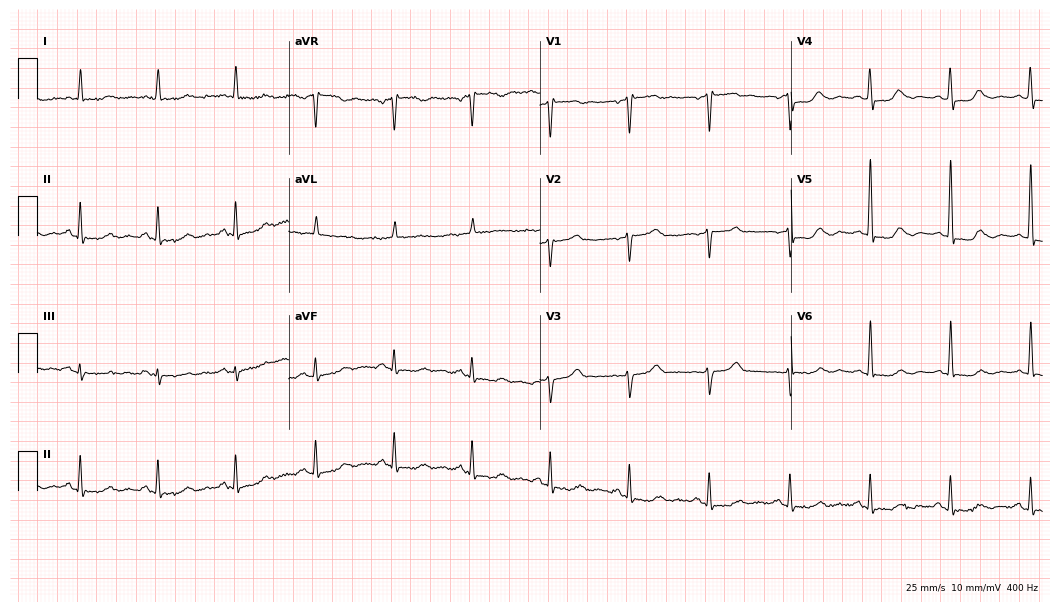
12-lead ECG from a 56-year-old female patient (10.2-second recording at 400 Hz). No first-degree AV block, right bundle branch block, left bundle branch block, sinus bradycardia, atrial fibrillation or sinus tachycardia recorded for this tracing.